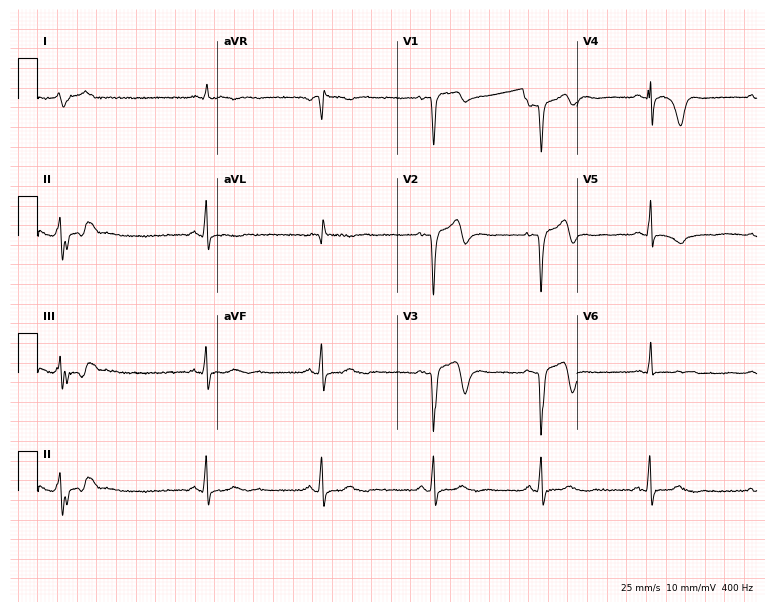
Electrocardiogram, a male patient, 57 years old. Of the six screened findings (first-degree AV block, right bundle branch block, left bundle branch block, sinus bradycardia, atrial fibrillation, sinus tachycardia), none is recorded.